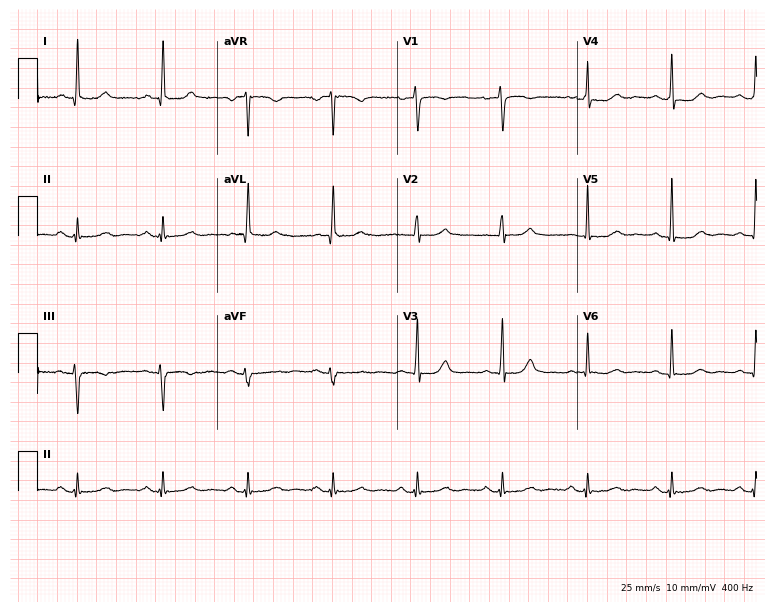
ECG (7.3-second recording at 400 Hz) — a 61-year-old female patient. Labelled as a normal ECG.